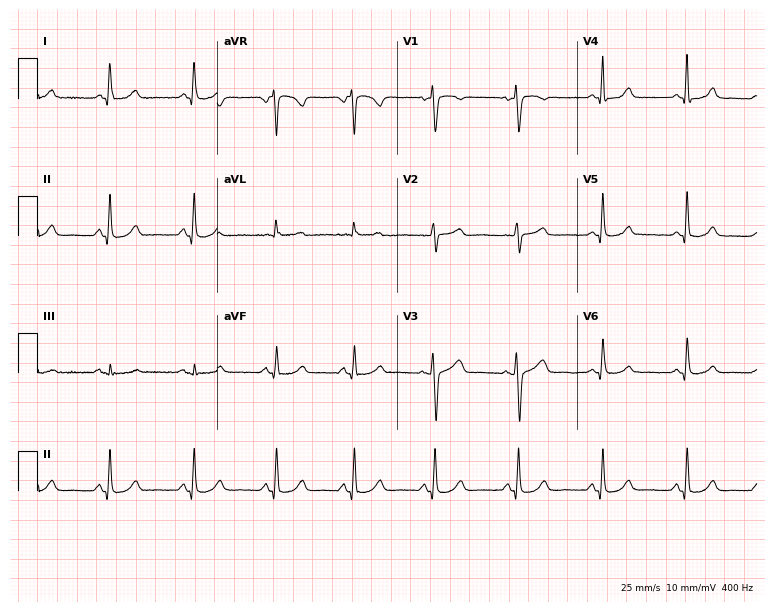
Electrocardiogram (7.3-second recording at 400 Hz), a female patient, 49 years old. Of the six screened findings (first-degree AV block, right bundle branch block, left bundle branch block, sinus bradycardia, atrial fibrillation, sinus tachycardia), none is recorded. Other findings, if any, are not listed.